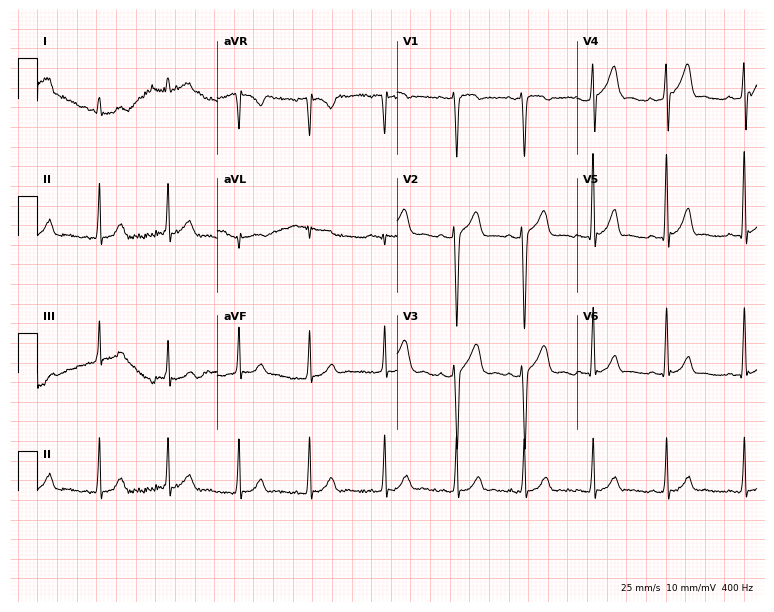
12-lead ECG from a male patient, 25 years old (7.3-second recording at 400 Hz). Recorded interpretation: within normal limits.